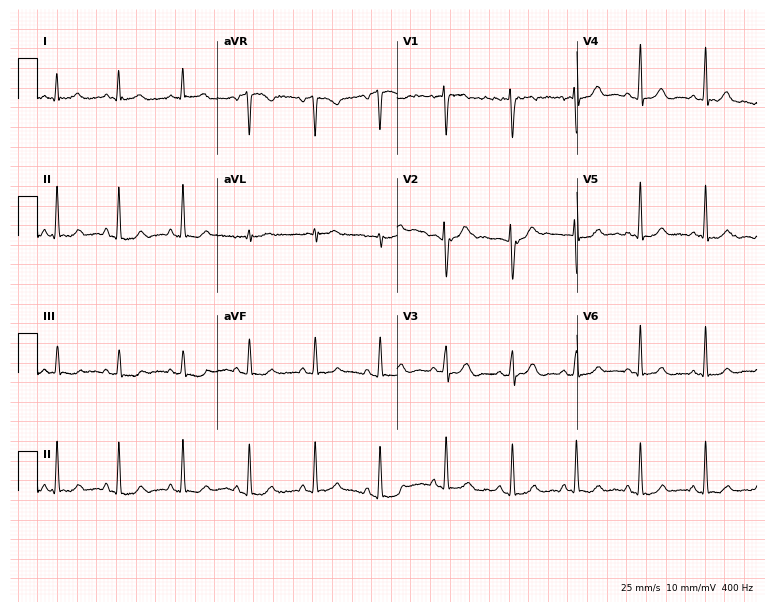
Standard 12-lead ECG recorded from a 41-year-old female patient. Read as a normal ECG.